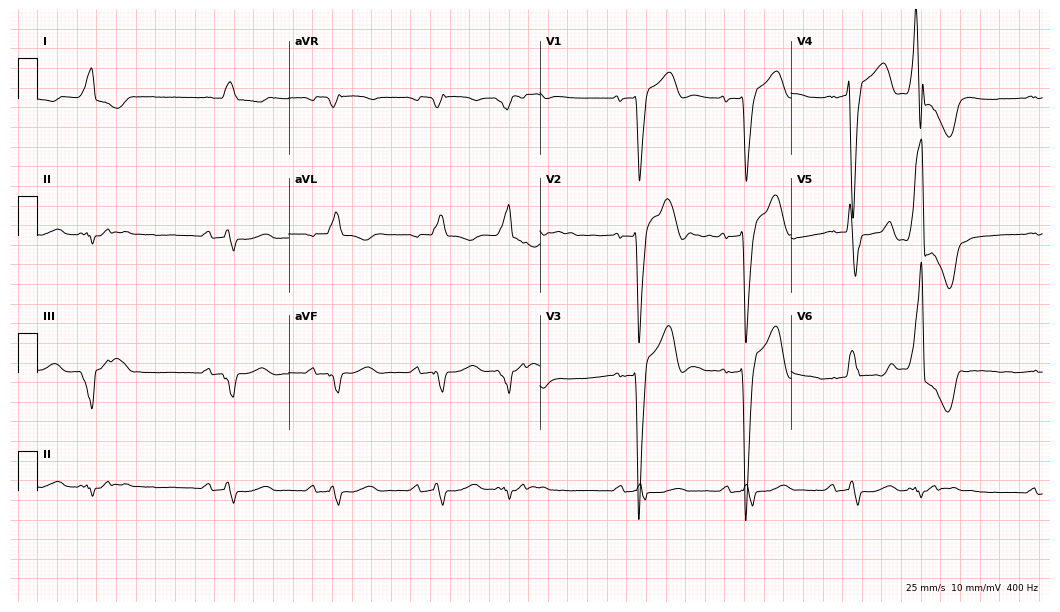
12-lead ECG from an 83-year-old male patient. Findings include first-degree AV block, left bundle branch block.